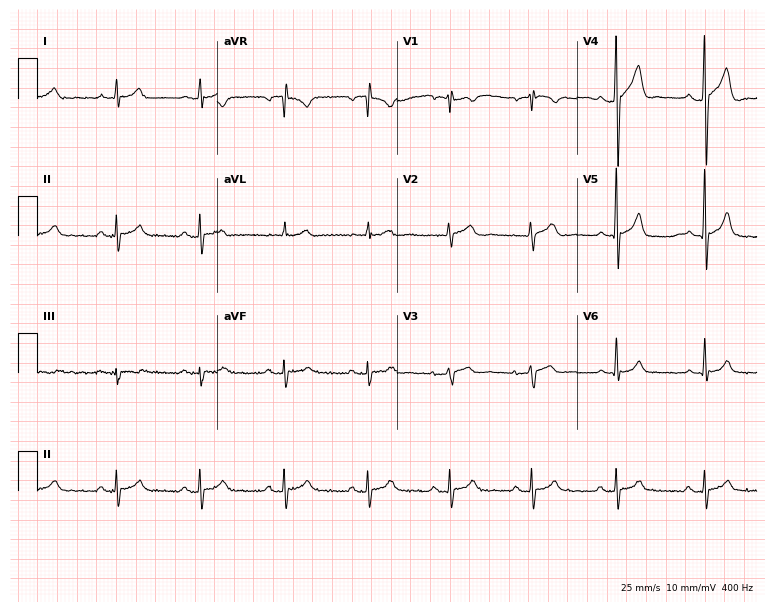
Resting 12-lead electrocardiogram (7.3-second recording at 400 Hz). Patient: a man, 19 years old. Read as a normal ECG.